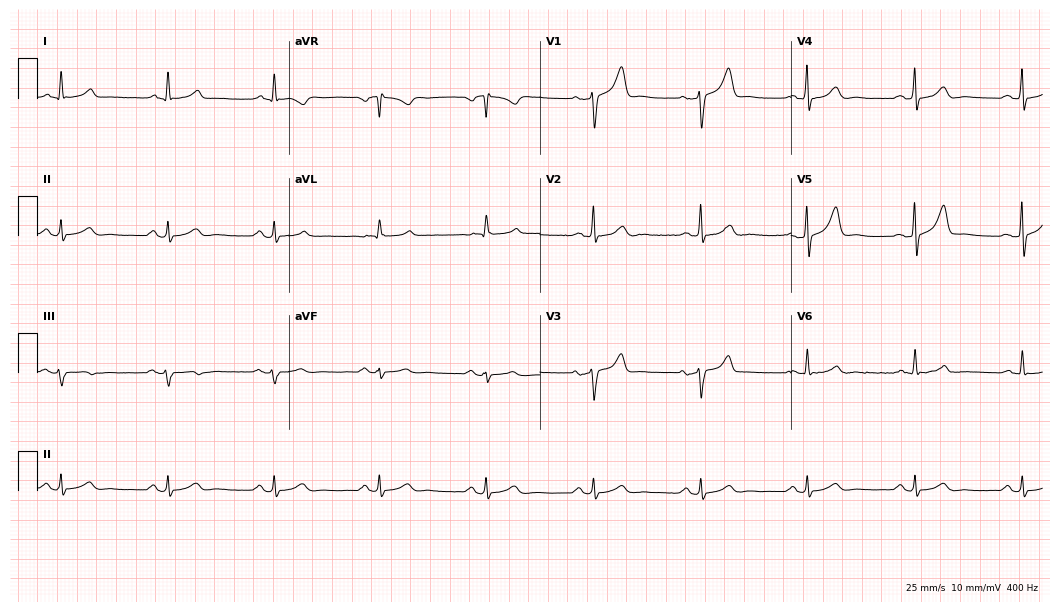
Resting 12-lead electrocardiogram (10.2-second recording at 400 Hz). Patient: a man, 61 years old. None of these six findings is recorded: first-degree AV block, right bundle branch block, left bundle branch block, sinus bradycardia, atrial fibrillation, sinus tachycardia.